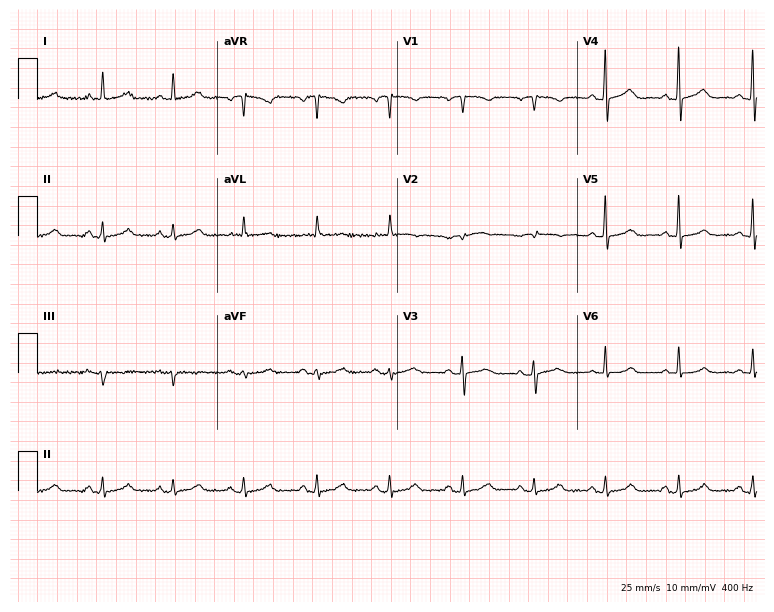
ECG (7.3-second recording at 400 Hz) — a 76-year-old woman. Labelled as a normal ECG.